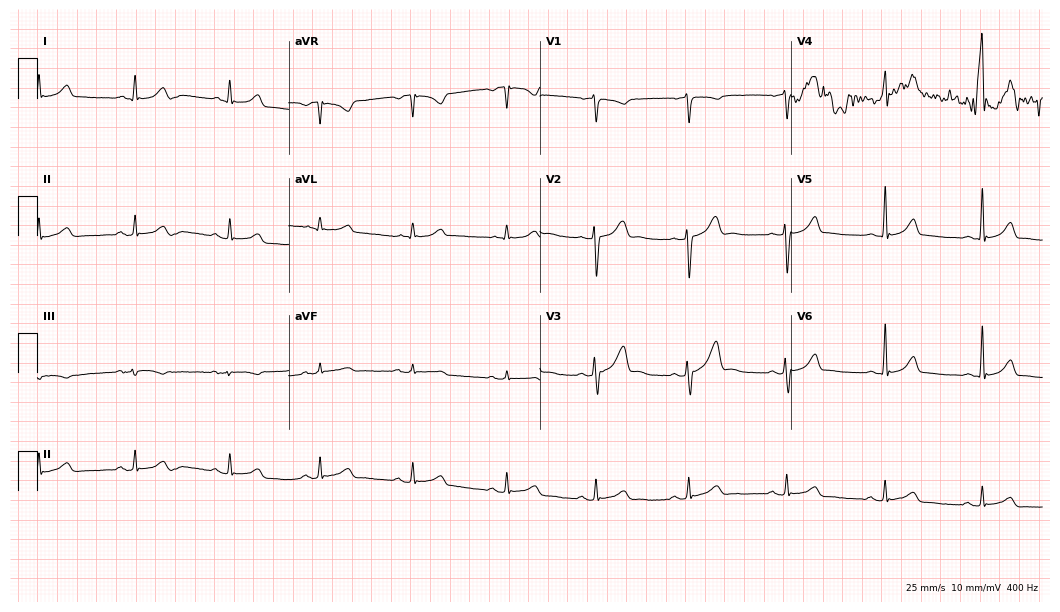
ECG — a 34-year-old male patient. Screened for six findings — first-degree AV block, right bundle branch block, left bundle branch block, sinus bradycardia, atrial fibrillation, sinus tachycardia — none is recorded.